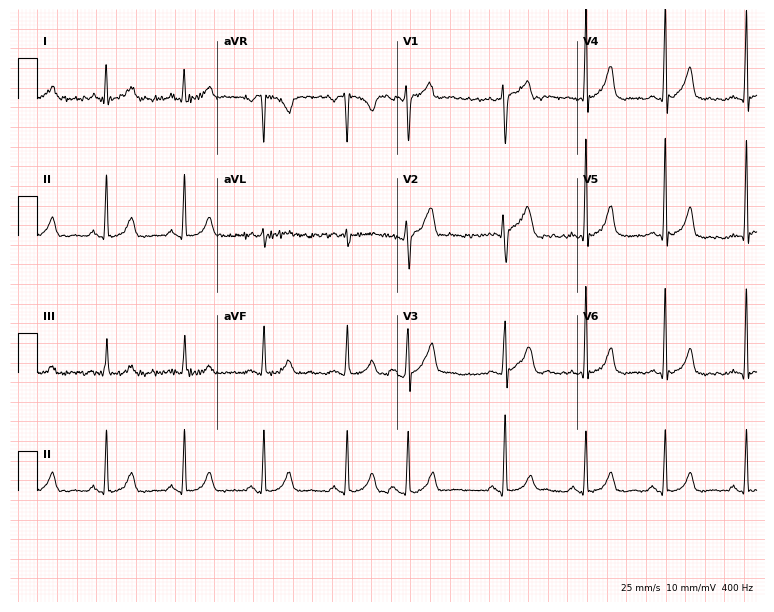
12-lead ECG from a 35-year-old woman (7.3-second recording at 400 Hz). No first-degree AV block, right bundle branch block, left bundle branch block, sinus bradycardia, atrial fibrillation or sinus tachycardia recorded for this tracing.